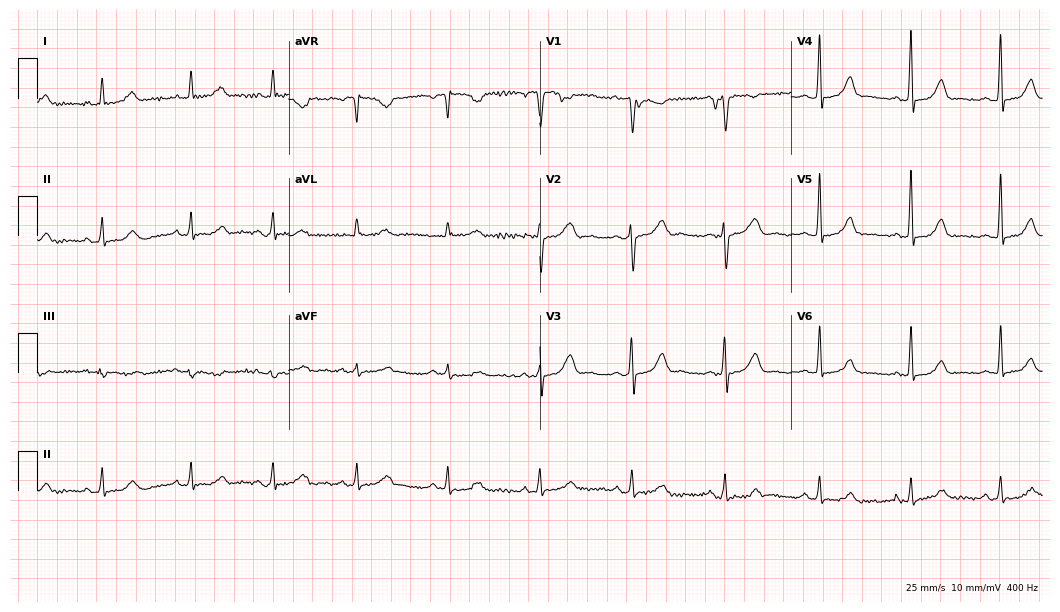
ECG — a female, 41 years old. Labelled as a normal ECG.